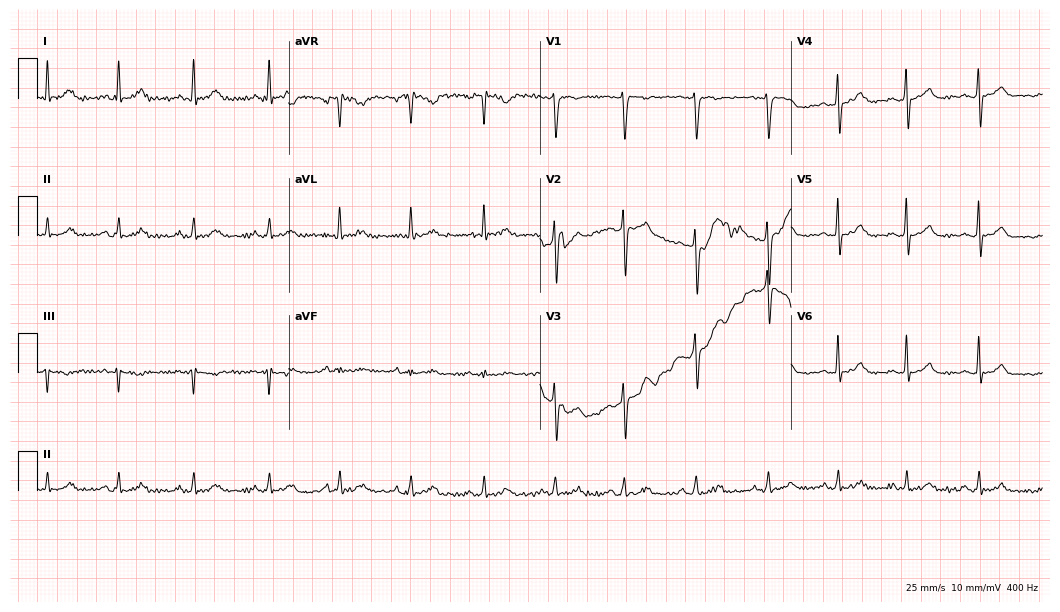
12-lead ECG from a woman, 28 years old. No first-degree AV block, right bundle branch block, left bundle branch block, sinus bradycardia, atrial fibrillation or sinus tachycardia recorded for this tracing. Other findings, if any, are not listed.